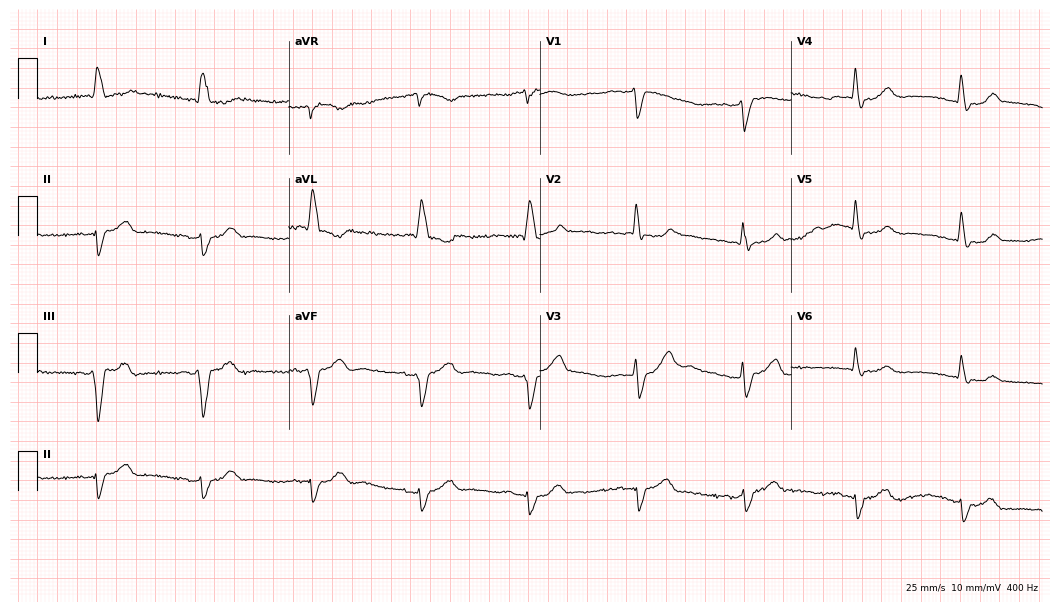
12-lead ECG from a male, 85 years old (10.2-second recording at 400 Hz). No first-degree AV block, right bundle branch block (RBBB), left bundle branch block (LBBB), sinus bradycardia, atrial fibrillation (AF) or sinus tachycardia recorded for this tracing. Other findings, if any, are not listed.